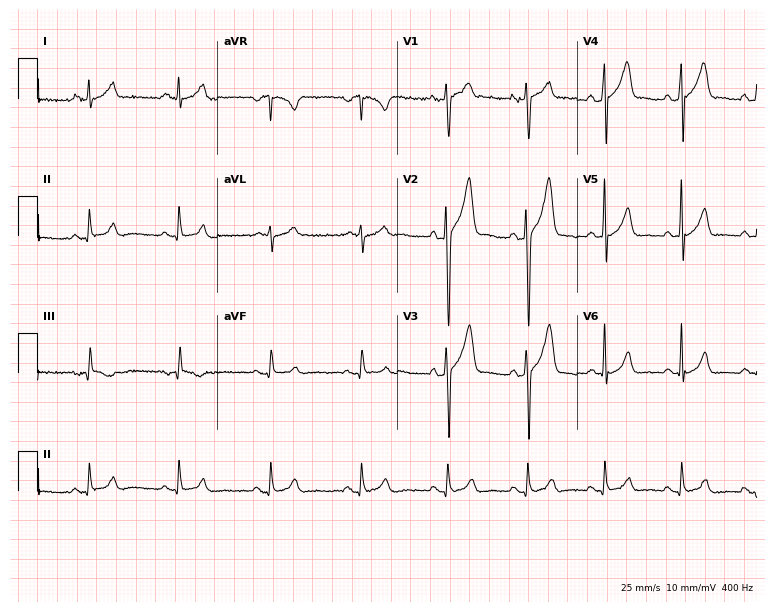
Electrocardiogram (7.3-second recording at 400 Hz), a male patient, 34 years old. Overall reading on record: normal ECG.